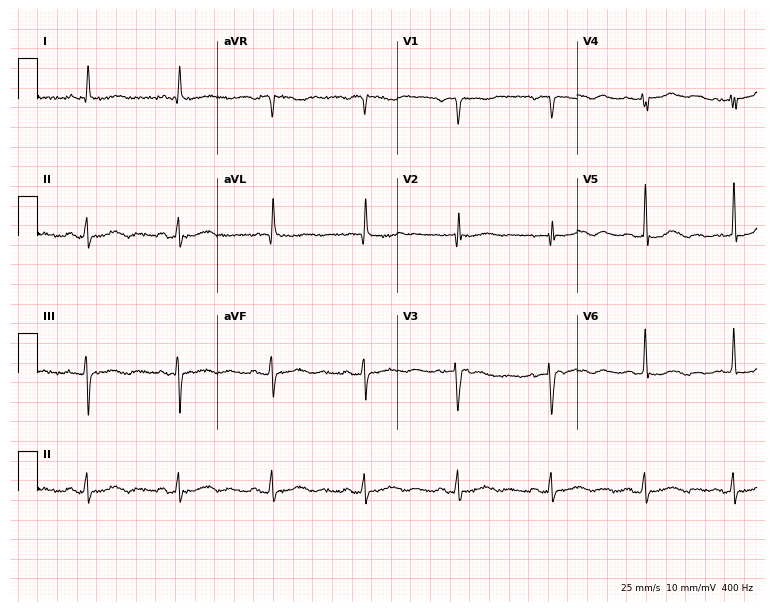
Resting 12-lead electrocardiogram. Patient: an 85-year-old female. None of these six findings is recorded: first-degree AV block, right bundle branch block (RBBB), left bundle branch block (LBBB), sinus bradycardia, atrial fibrillation (AF), sinus tachycardia. Only these six findings were labelled.